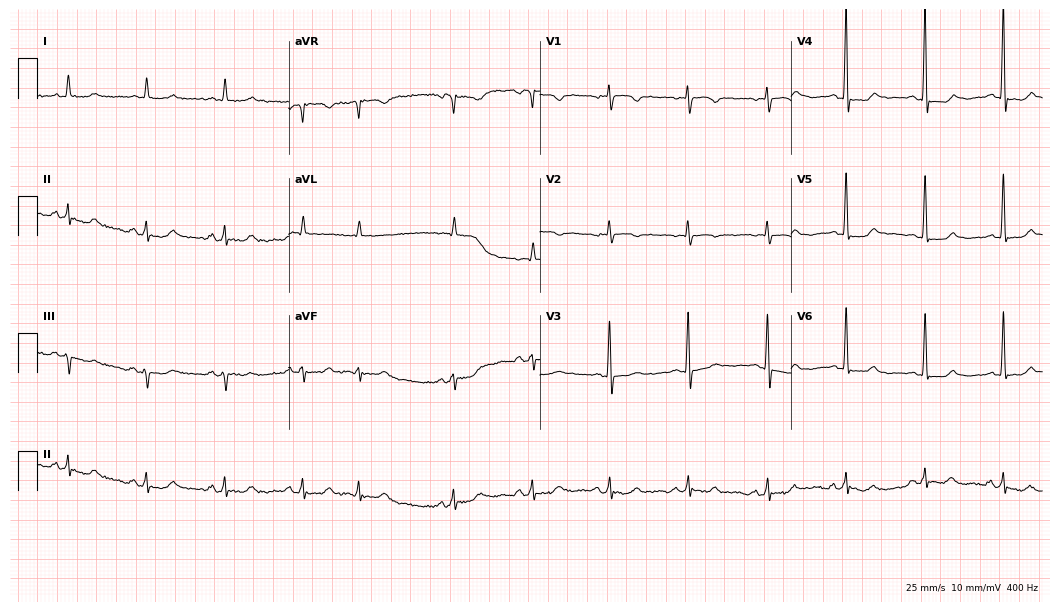
12-lead ECG from a 74-year-old female patient. No first-degree AV block, right bundle branch block (RBBB), left bundle branch block (LBBB), sinus bradycardia, atrial fibrillation (AF) or sinus tachycardia recorded for this tracing. Other findings, if any, are not listed.